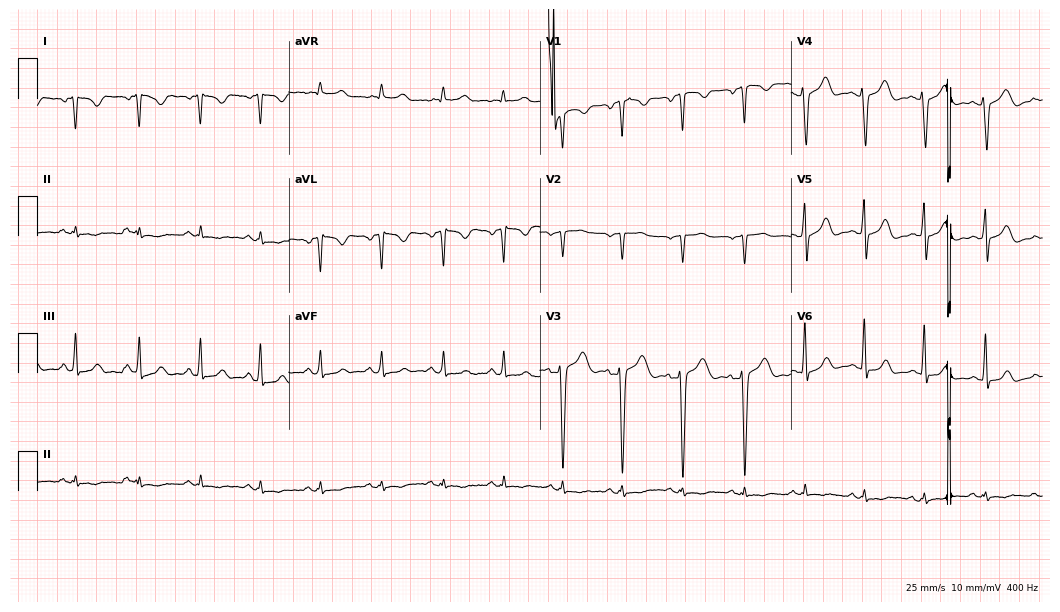
Standard 12-lead ECG recorded from a female, 33 years old. None of these six findings is recorded: first-degree AV block, right bundle branch block, left bundle branch block, sinus bradycardia, atrial fibrillation, sinus tachycardia. Findings outside these six are not listed.